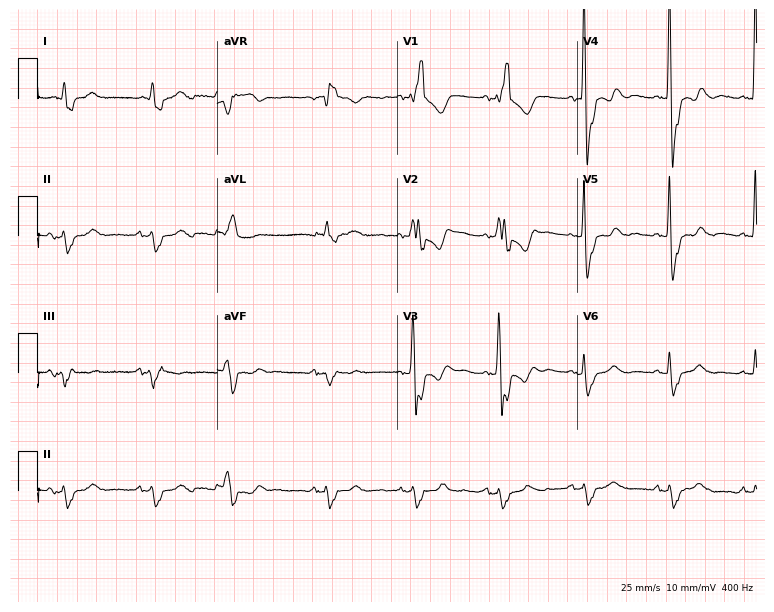
Standard 12-lead ECG recorded from an 83-year-old male. The tracing shows right bundle branch block (RBBB).